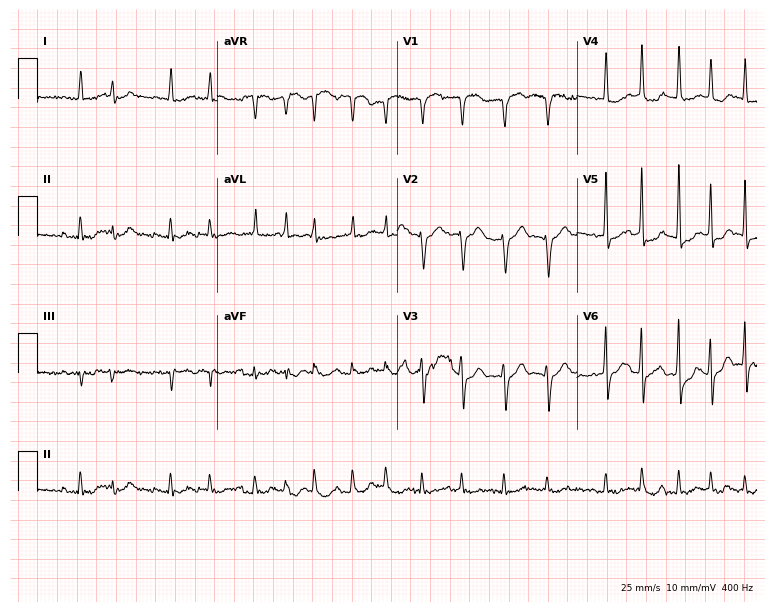
ECG — a male, 78 years old. Findings include atrial fibrillation (AF).